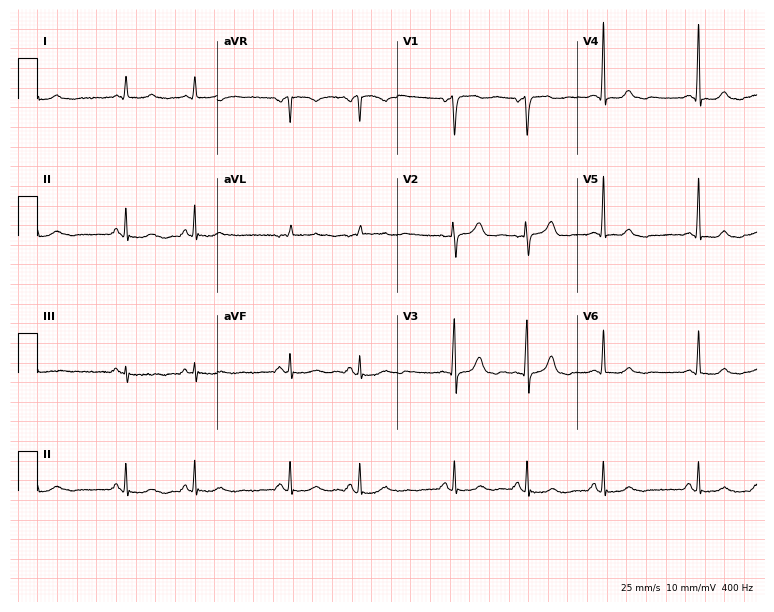
Electrocardiogram (7.3-second recording at 400 Hz), an 81-year-old male patient. Of the six screened findings (first-degree AV block, right bundle branch block (RBBB), left bundle branch block (LBBB), sinus bradycardia, atrial fibrillation (AF), sinus tachycardia), none is recorded. Other findings, if any, are not listed.